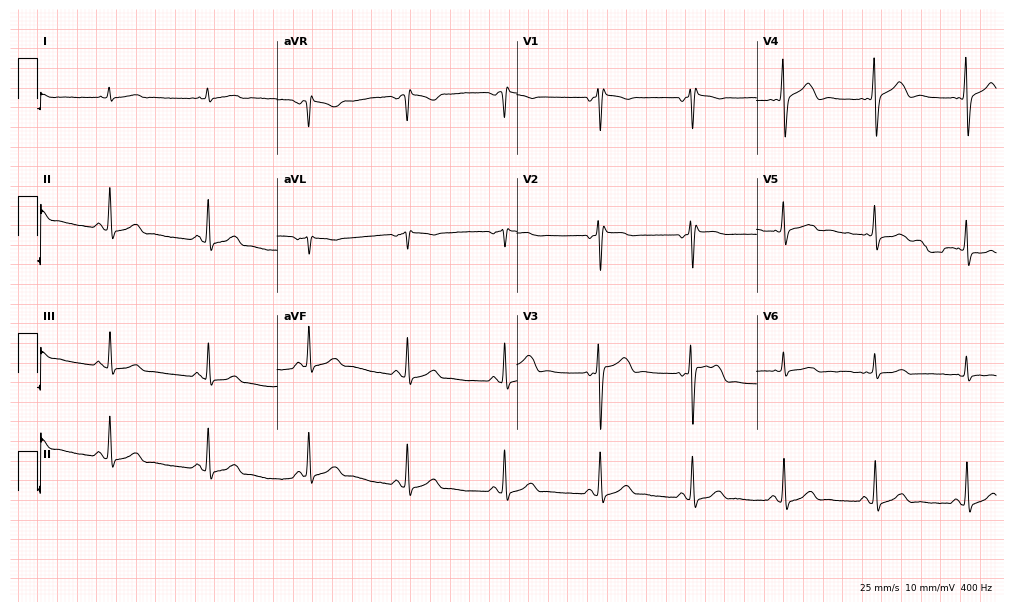
Resting 12-lead electrocardiogram (9.8-second recording at 400 Hz). Patient: a 56-year-old male. None of these six findings is recorded: first-degree AV block, right bundle branch block (RBBB), left bundle branch block (LBBB), sinus bradycardia, atrial fibrillation (AF), sinus tachycardia. Other findings, if any, are not listed.